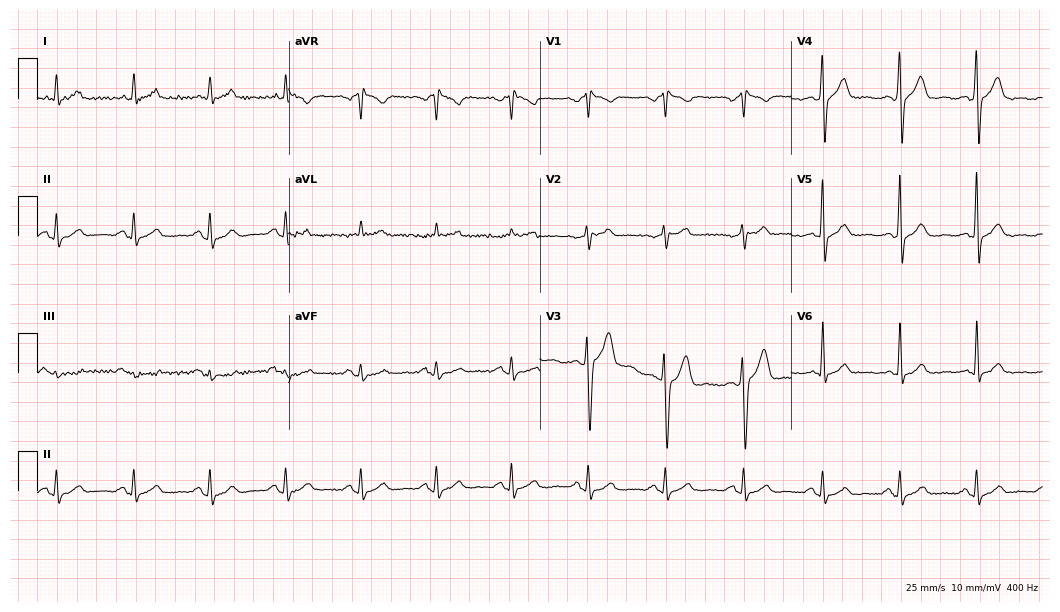
Electrocardiogram (10.2-second recording at 400 Hz), a man, 54 years old. Of the six screened findings (first-degree AV block, right bundle branch block, left bundle branch block, sinus bradycardia, atrial fibrillation, sinus tachycardia), none is recorded. Findings outside these six are not listed.